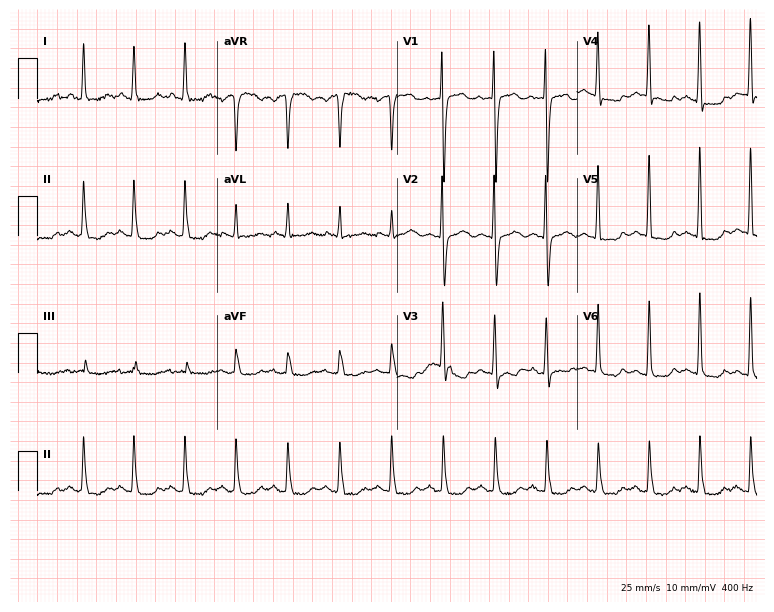
ECG — a female, 83 years old. Findings include sinus tachycardia (a sinus rate of 100 beats per minute or more).